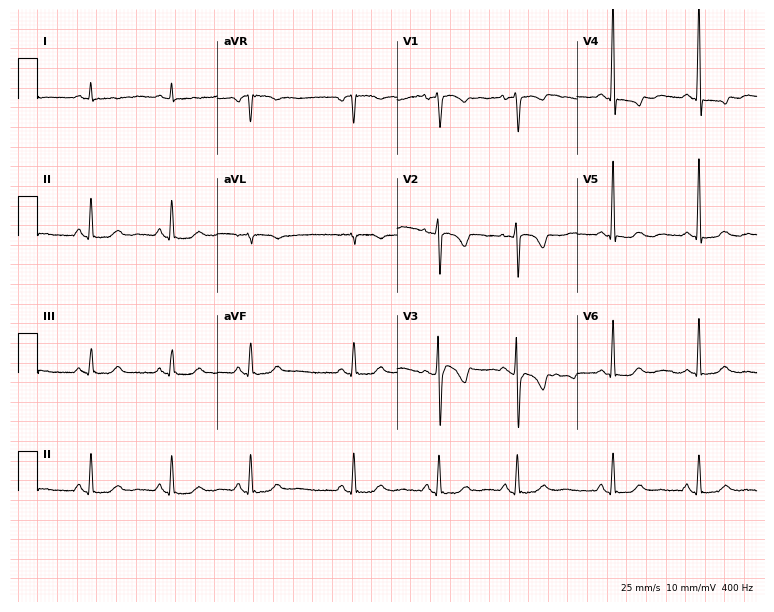
12-lead ECG (7.3-second recording at 400 Hz) from a woman, 45 years old. Screened for six findings — first-degree AV block, right bundle branch block, left bundle branch block, sinus bradycardia, atrial fibrillation, sinus tachycardia — none is recorded.